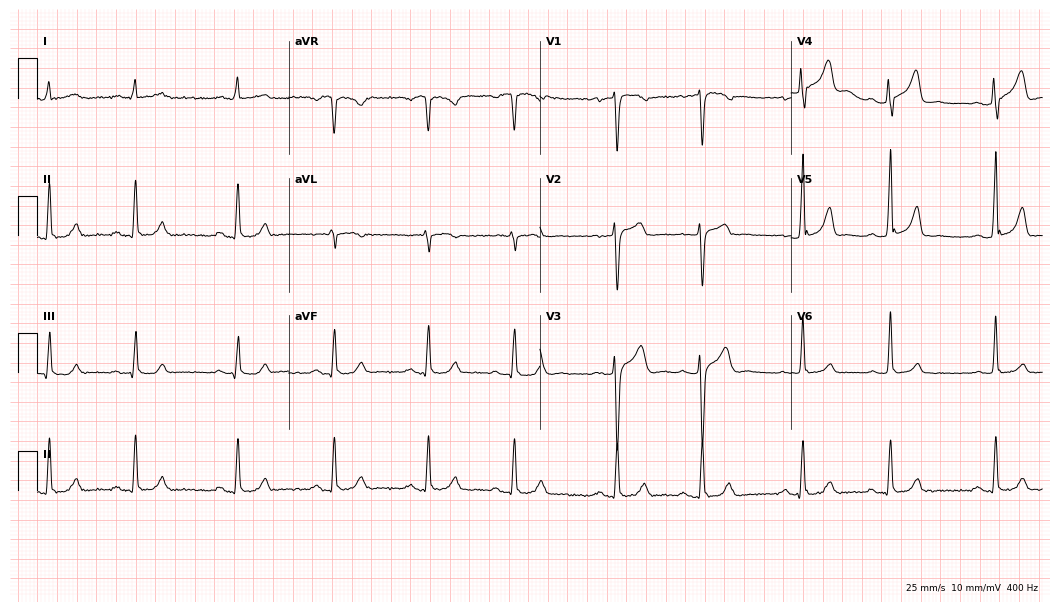
12-lead ECG from a male, 45 years old. Screened for six findings — first-degree AV block, right bundle branch block, left bundle branch block, sinus bradycardia, atrial fibrillation, sinus tachycardia — none is recorded.